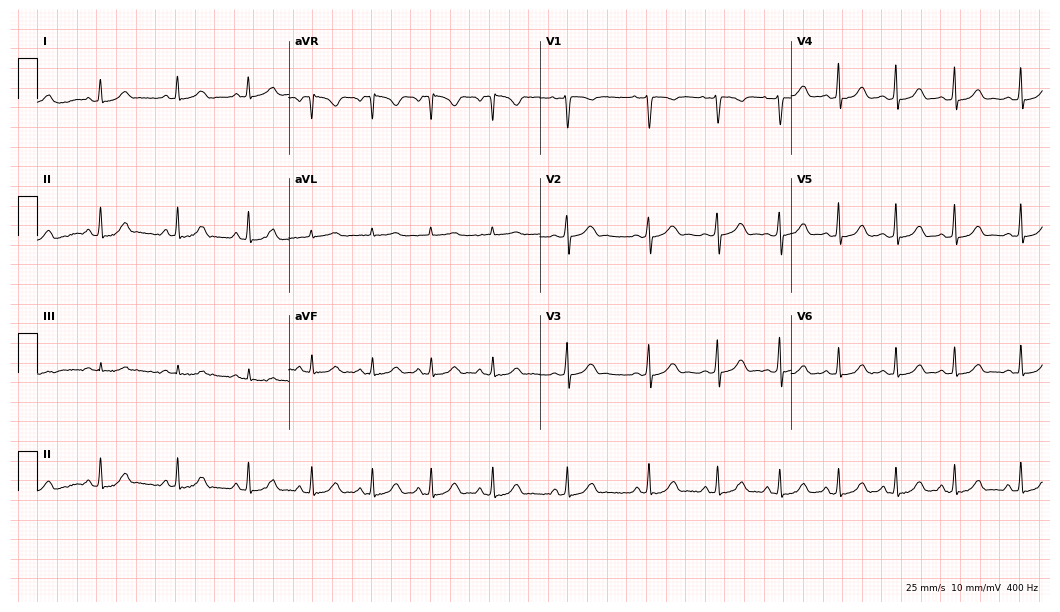
Resting 12-lead electrocardiogram. Patient: a woman, 20 years old. Read as a normal ECG.